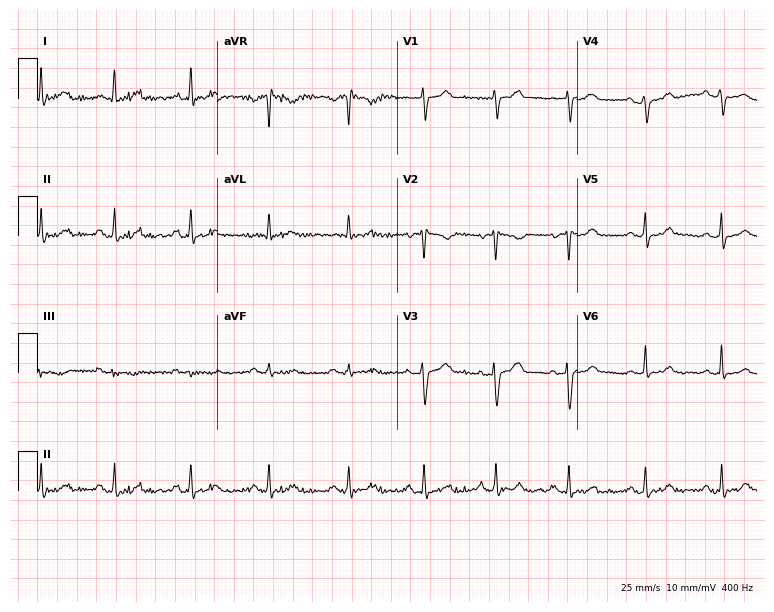
12-lead ECG from a woman, 42 years old (7.3-second recording at 400 Hz). No first-degree AV block, right bundle branch block, left bundle branch block, sinus bradycardia, atrial fibrillation or sinus tachycardia recorded for this tracing.